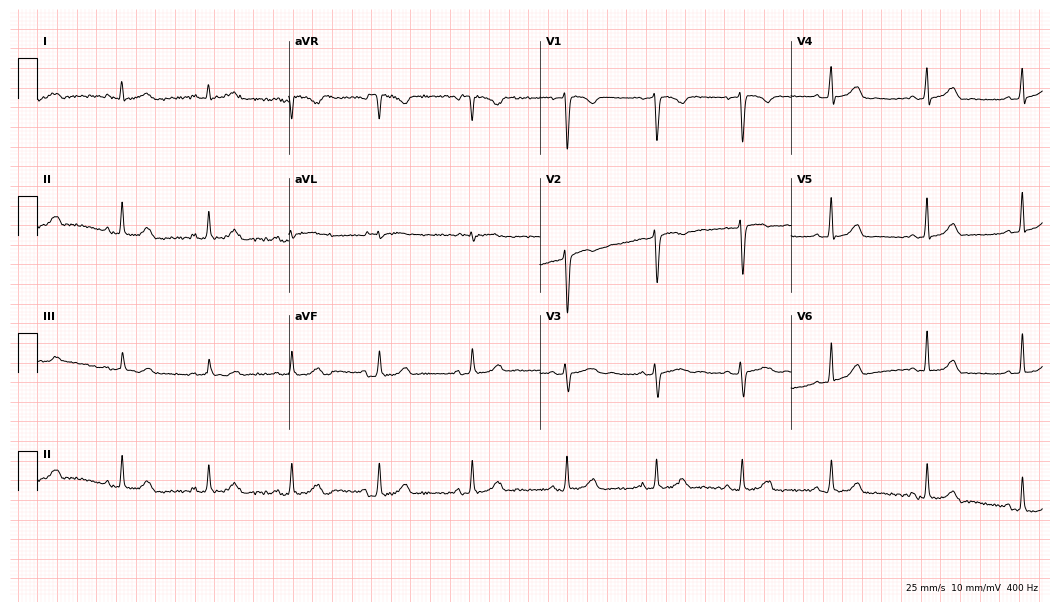
12-lead ECG (10.2-second recording at 400 Hz) from a 27-year-old female patient. Labelled as a normal ECG.